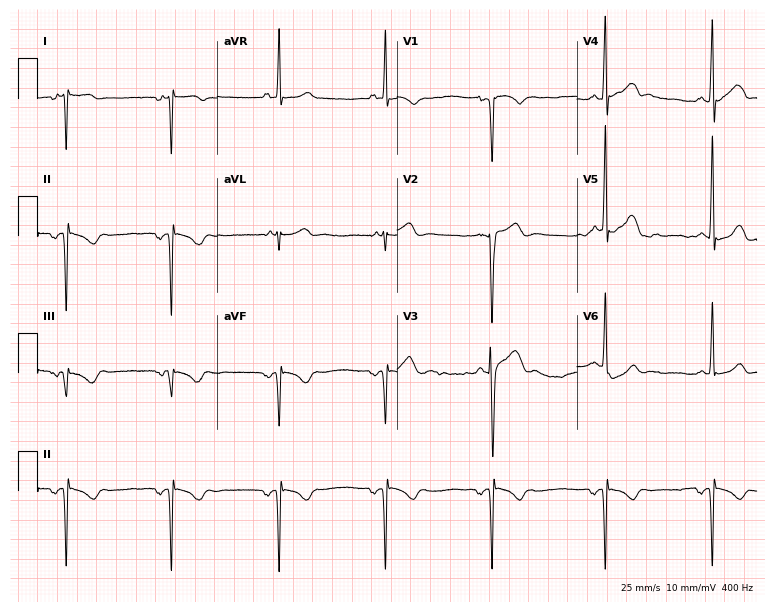
Electrocardiogram, a male, 23 years old. Of the six screened findings (first-degree AV block, right bundle branch block, left bundle branch block, sinus bradycardia, atrial fibrillation, sinus tachycardia), none is recorded. Other findings, if any, are not listed.